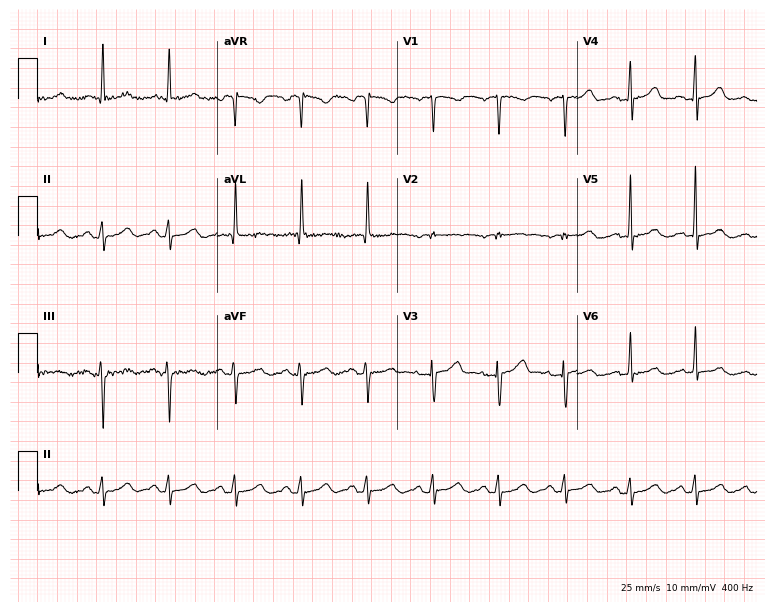
ECG (7.3-second recording at 400 Hz) — a woman, 68 years old. Screened for six findings — first-degree AV block, right bundle branch block, left bundle branch block, sinus bradycardia, atrial fibrillation, sinus tachycardia — none is recorded. Other findings, if any, are not listed.